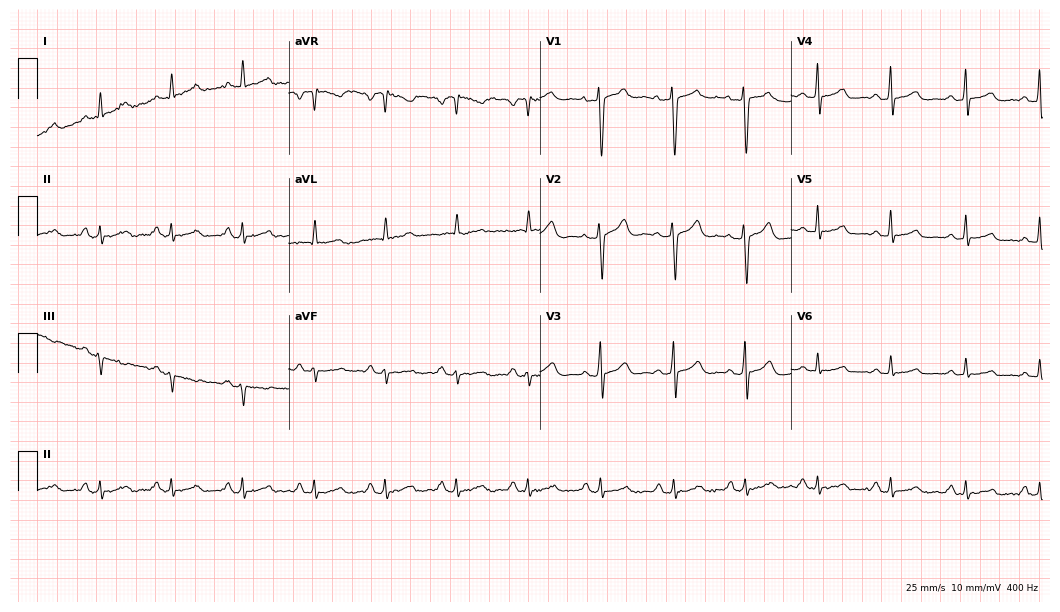
Standard 12-lead ECG recorded from a female patient, 63 years old. None of these six findings is recorded: first-degree AV block, right bundle branch block (RBBB), left bundle branch block (LBBB), sinus bradycardia, atrial fibrillation (AF), sinus tachycardia.